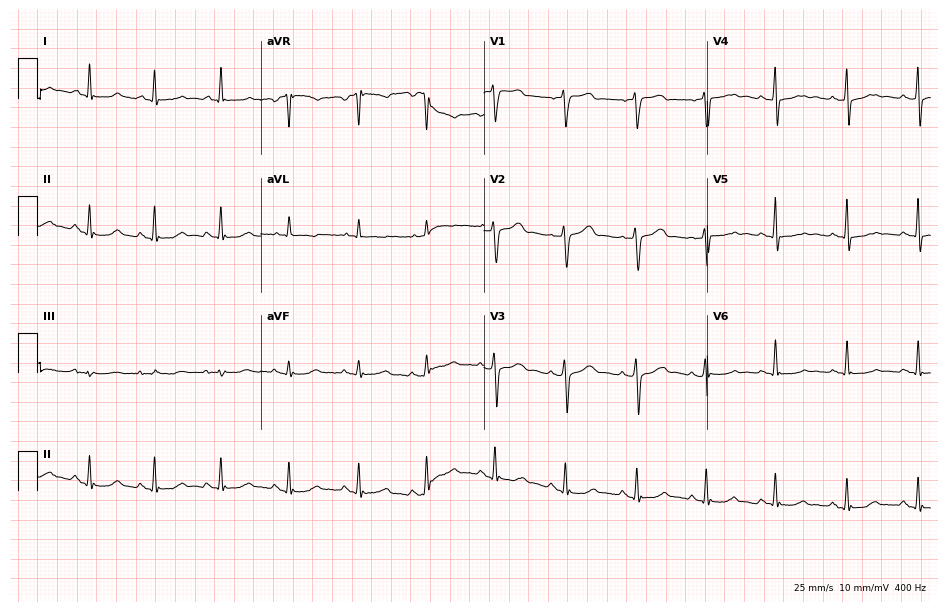
12-lead ECG from a 54-year-old female. No first-degree AV block, right bundle branch block (RBBB), left bundle branch block (LBBB), sinus bradycardia, atrial fibrillation (AF) or sinus tachycardia recorded for this tracing.